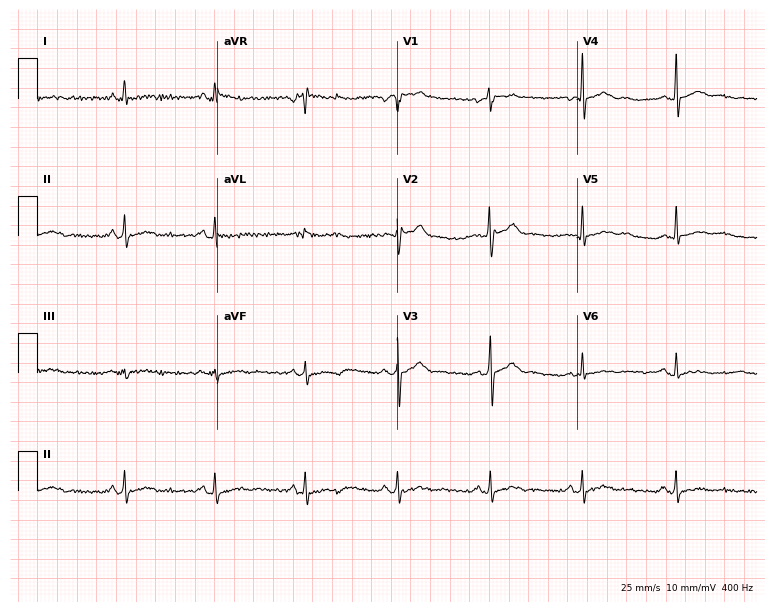
12-lead ECG from a man, 37 years old (7.3-second recording at 400 Hz). No first-degree AV block, right bundle branch block (RBBB), left bundle branch block (LBBB), sinus bradycardia, atrial fibrillation (AF) or sinus tachycardia recorded for this tracing.